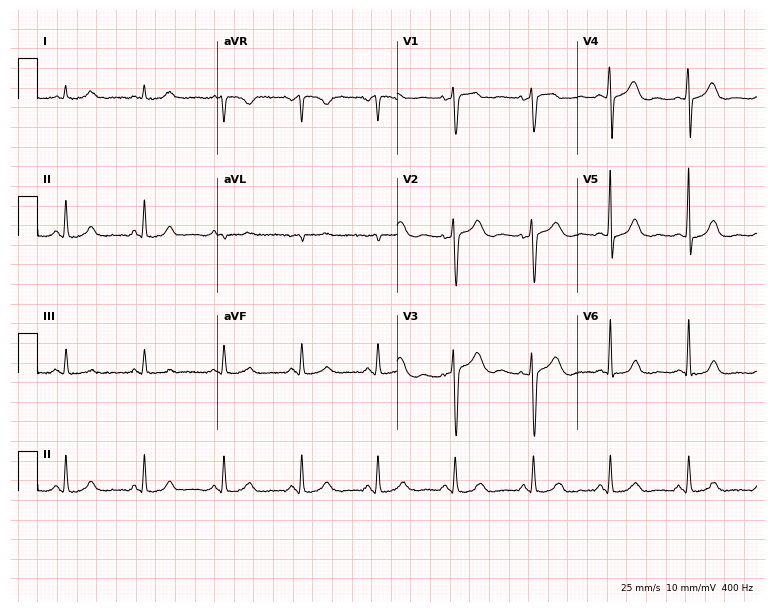
Electrocardiogram (7.3-second recording at 400 Hz), a 53-year-old female patient. Of the six screened findings (first-degree AV block, right bundle branch block (RBBB), left bundle branch block (LBBB), sinus bradycardia, atrial fibrillation (AF), sinus tachycardia), none is recorded. Other findings, if any, are not listed.